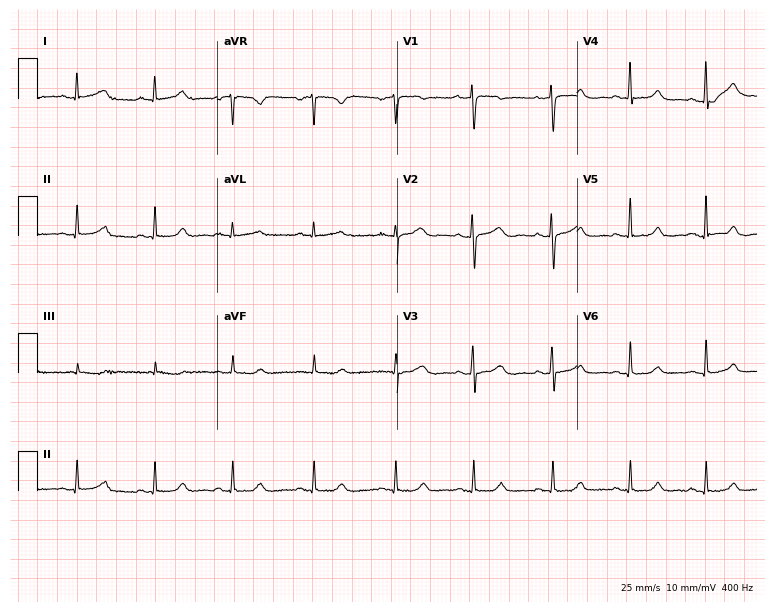
Electrocardiogram (7.3-second recording at 400 Hz), a 53-year-old female patient. Of the six screened findings (first-degree AV block, right bundle branch block, left bundle branch block, sinus bradycardia, atrial fibrillation, sinus tachycardia), none is recorded.